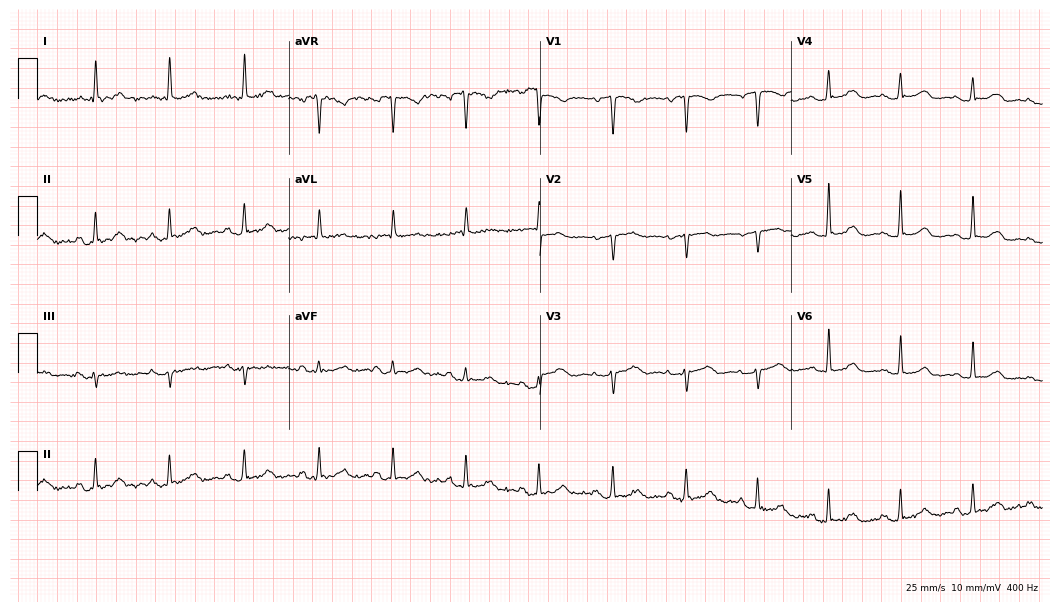
ECG (10.2-second recording at 400 Hz) — a woman, 71 years old. Screened for six findings — first-degree AV block, right bundle branch block, left bundle branch block, sinus bradycardia, atrial fibrillation, sinus tachycardia — none is recorded.